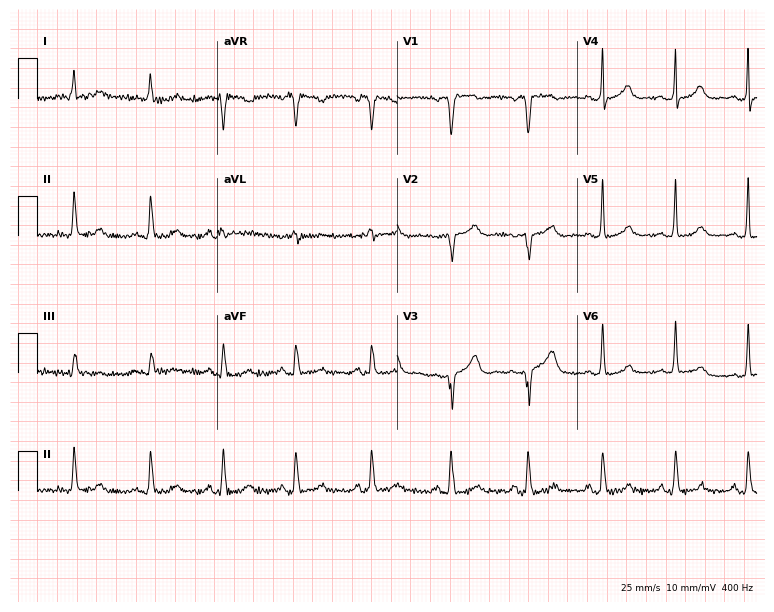
12-lead ECG from a female, 74 years old. No first-degree AV block, right bundle branch block, left bundle branch block, sinus bradycardia, atrial fibrillation or sinus tachycardia recorded for this tracing. Findings outside these six are not listed.